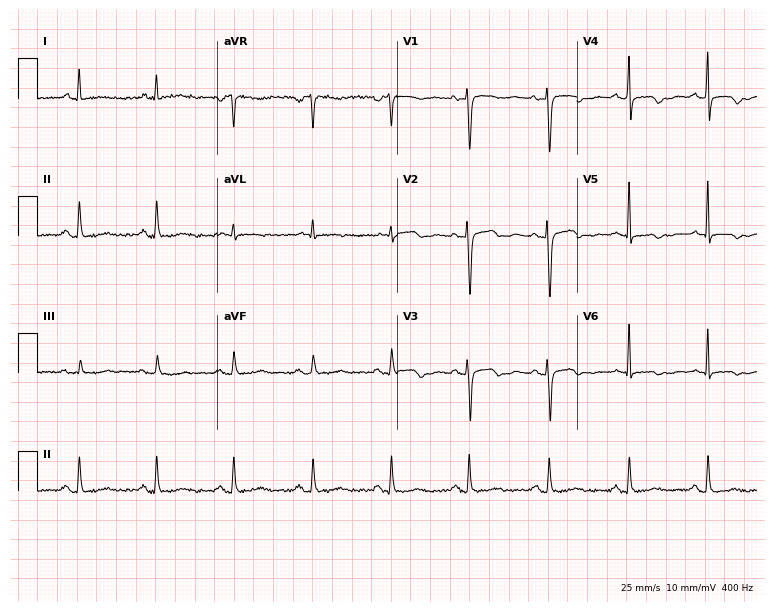
Electrocardiogram (7.3-second recording at 400 Hz), a 65-year-old female patient. Of the six screened findings (first-degree AV block, right bundle branch block (RBBB), left bundle branch block (LBBB), sinus bradycardia, atrial fibrillation (AF), sinus tachycardia), none is recorded. Other findings, if any, are not listed.